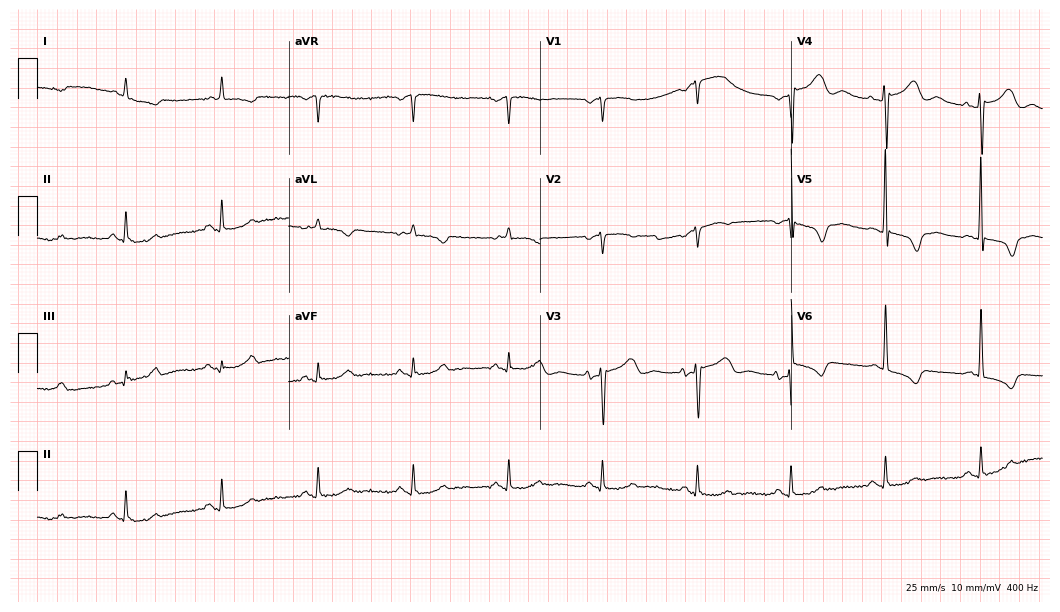
12-lead ECG from a female patient, 78 years old. No first-degree AV block, right bundle branch block, left bundle branch block, sinus bradycardia, atrial fibrillation or sinus tachycardia recorded for this tracing.